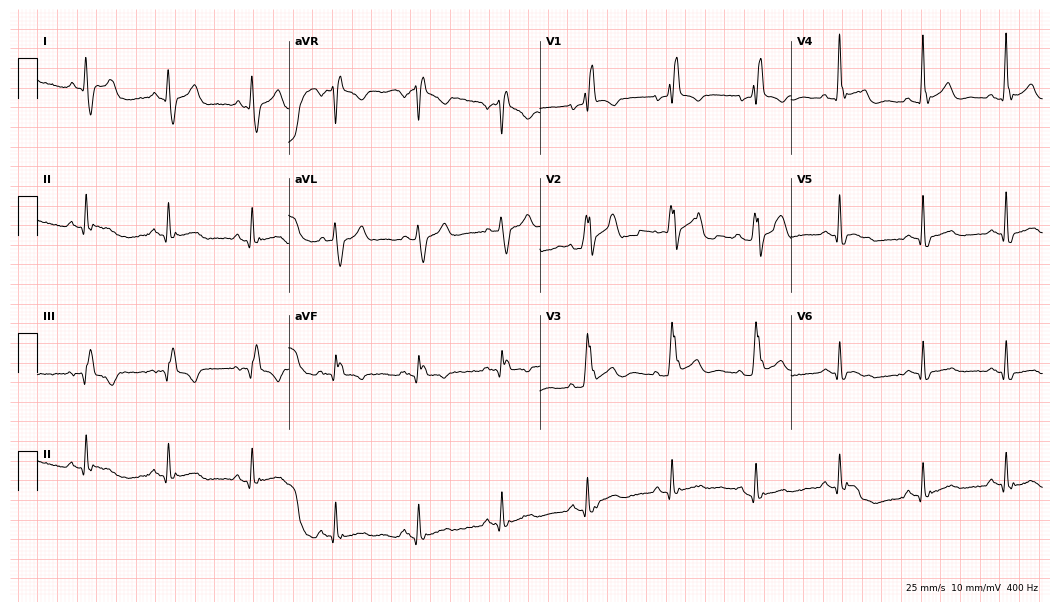
12-lead ECG from a 52-year-old male (10.2-second recording at 400 Hz). Shows right bundle branch block.